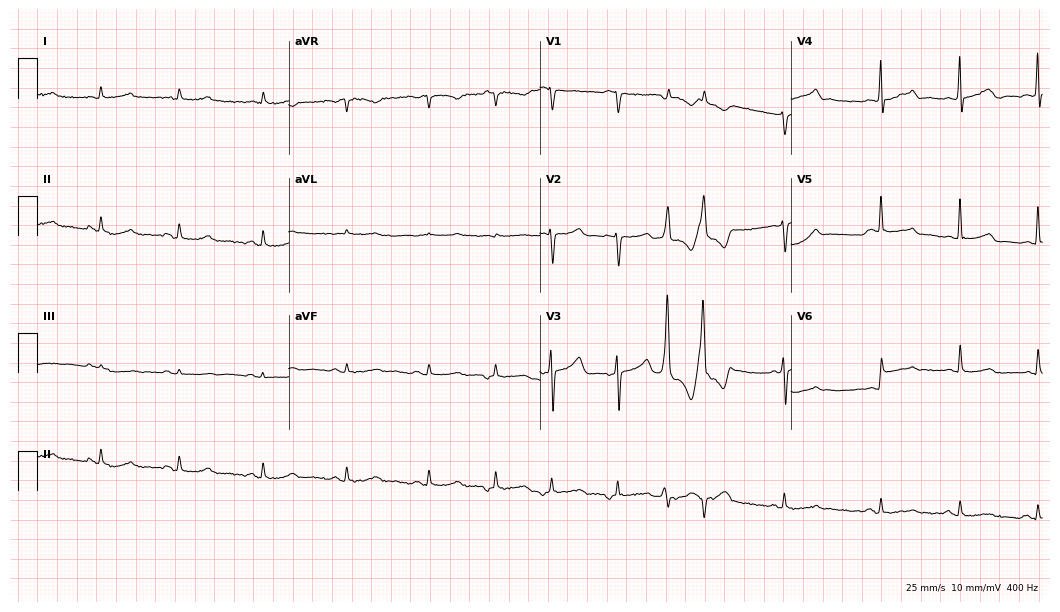
Standard 12-lead ECG recorded from a male patient, 85 years old. Read as a normal ECG.